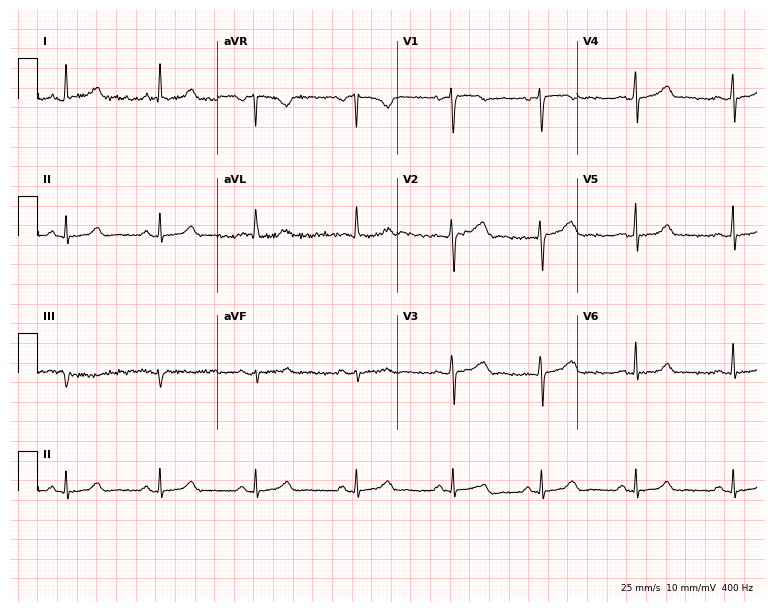
Resting 12-lead electrocardiogram (7.3-second recording at 400 Hz). Patient: a 40-year-old female. Read as a normal ECG.